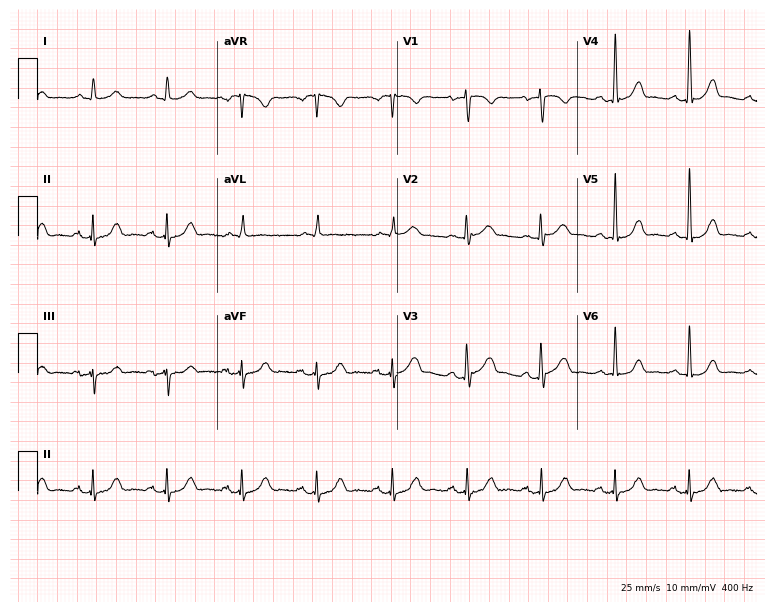
Electrocardiogram (7.3-second recording at 400 Hz), a 70-year-old man. Overall reading on record: normal ECG.